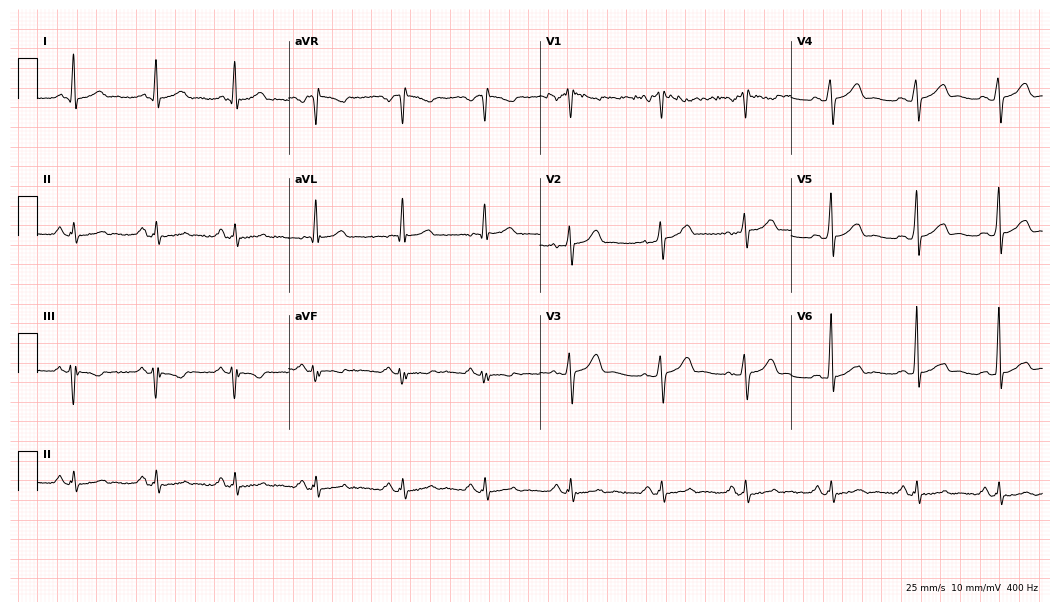
12-lead ECG from a 39-year-old male patient (10.2-second recording at 400 Hz). No first-degree AV block, right bundle branch block (RBBB), left bundle branch block (LBBB), sinus bradycardia, atrial fibrillation (AF) or sinus tachycardia recorded for this tracing. Only these six findings were labelled.